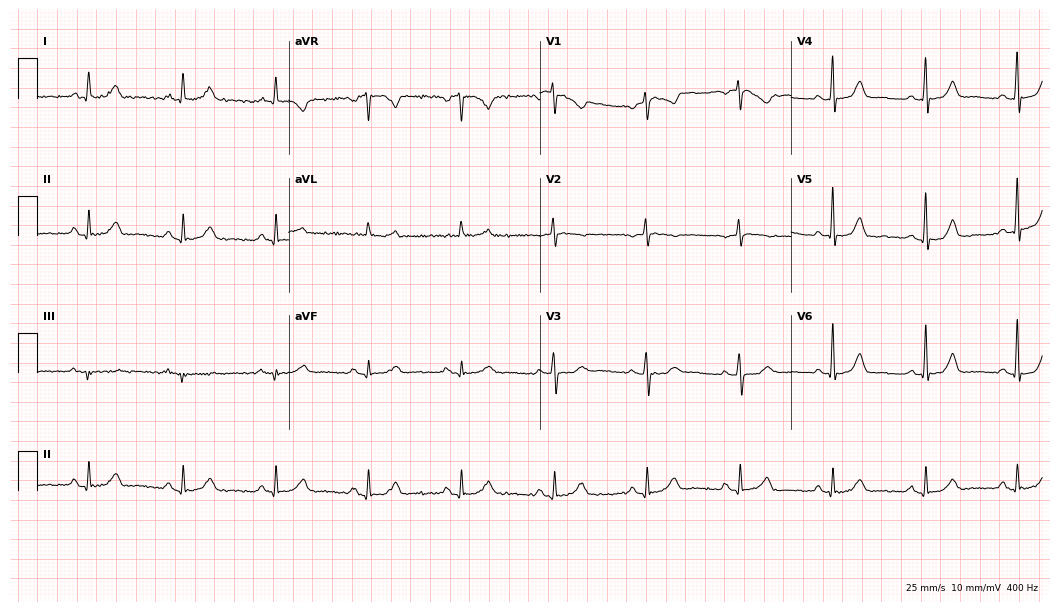
12-lead ECG from a 70-year-old female. Recorded interpretation: within normal limits.